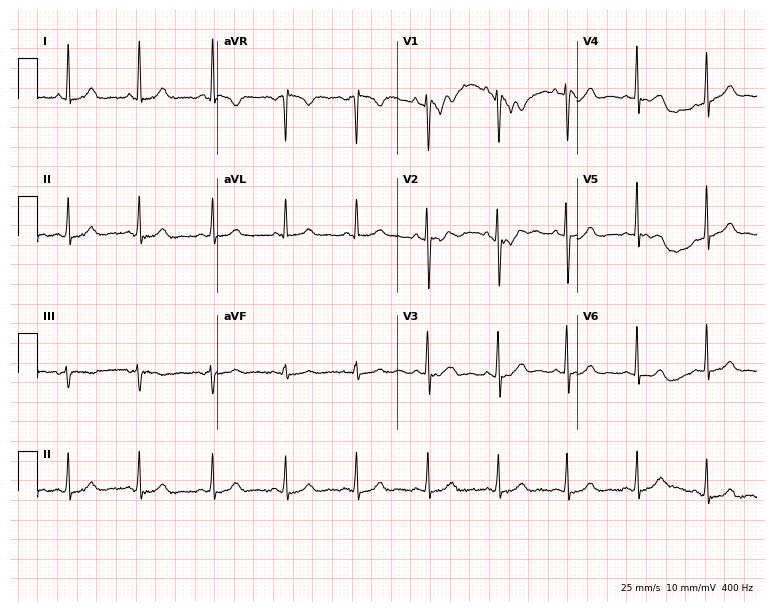
ECG — a 42-year-old female. Screened for six findings — first-degree AV block, right bundle branch block, left bundle branch block, sinus bradycardia, atrial fibrillation, sinus tachycardia — none is recorded. Findings outside these six are not listed.